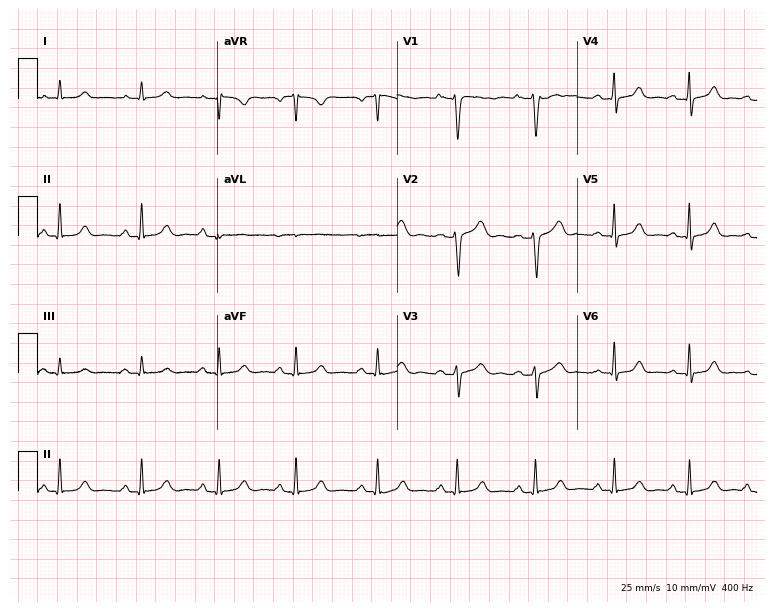
12-lead ECG from a woman, 33 years old (7.3-second recording at 400 Hz). Recorded interpretation: within normal limits.